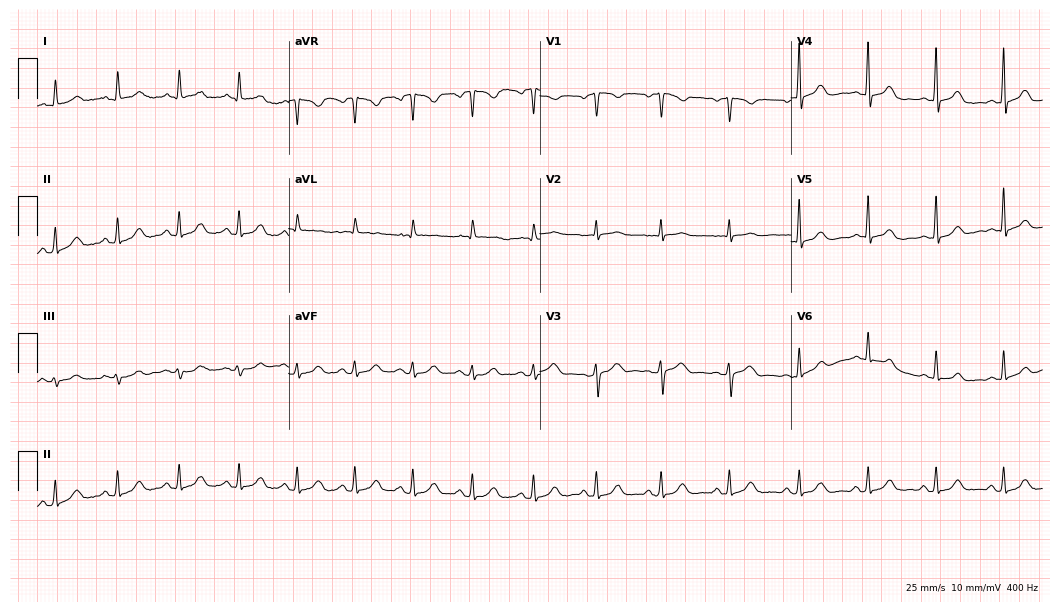
Electrocardiogram (10.2-second recording at 400 Hz), a 43-year-old woman. Overall reading on record: normal ECG.